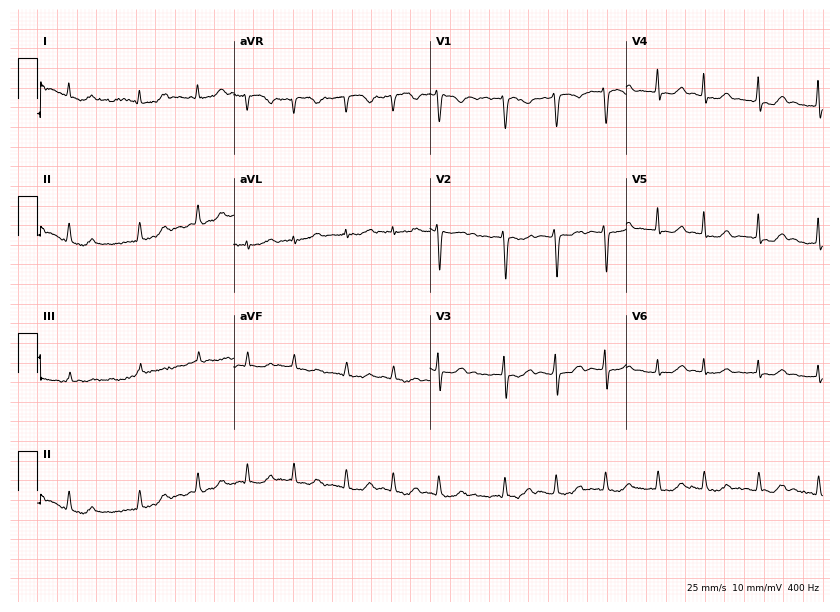
ECG (8-second recording at 400 Hz) — a female patient, 70 years old. Screened for six findings — first-degree AV block, right bundle branch block (RBBB), left bundle branch block (LBBB), sinus bradycardia, atrial fibrillation (AF), sinus tachycardia — none is recorded. Other findings, if any, are not listed.